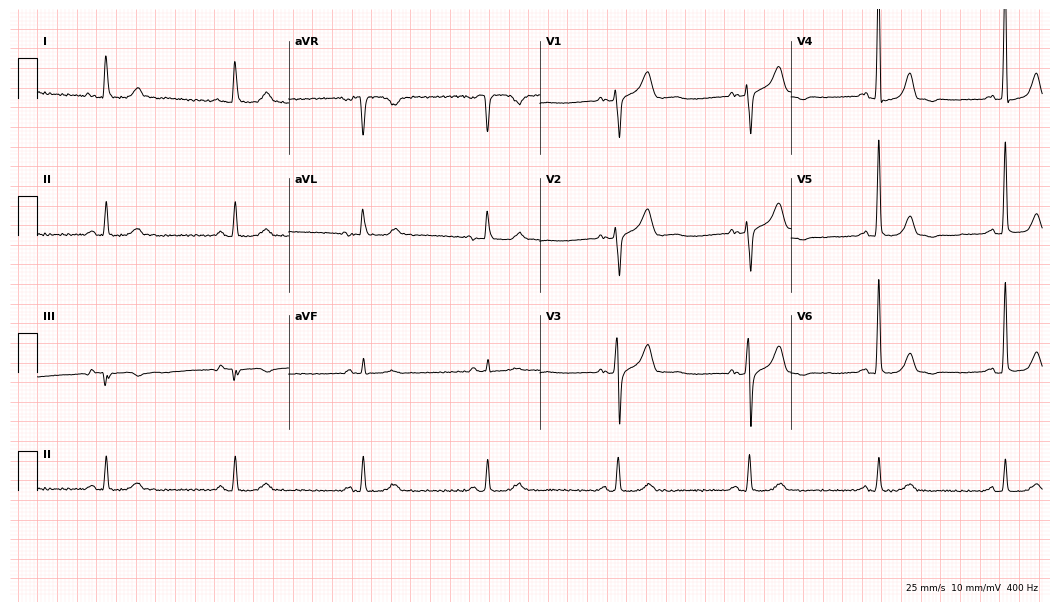
Standard 12-lead ECG recorded from a male patient, 74 years old. The tracing shows sinus bradycardia (a sinus rate of 50 beats per minute or less).